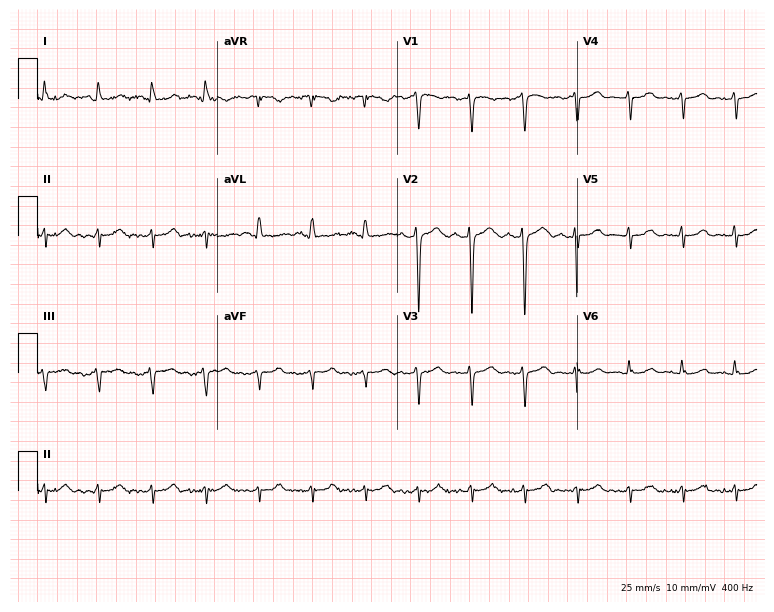
Electrocardiogram (7.3-second recording at 400 Hz), a 62-year-old female patient. Interpretation includes sinus tachycardia (a sinus rate of 100 beats per minute or more).